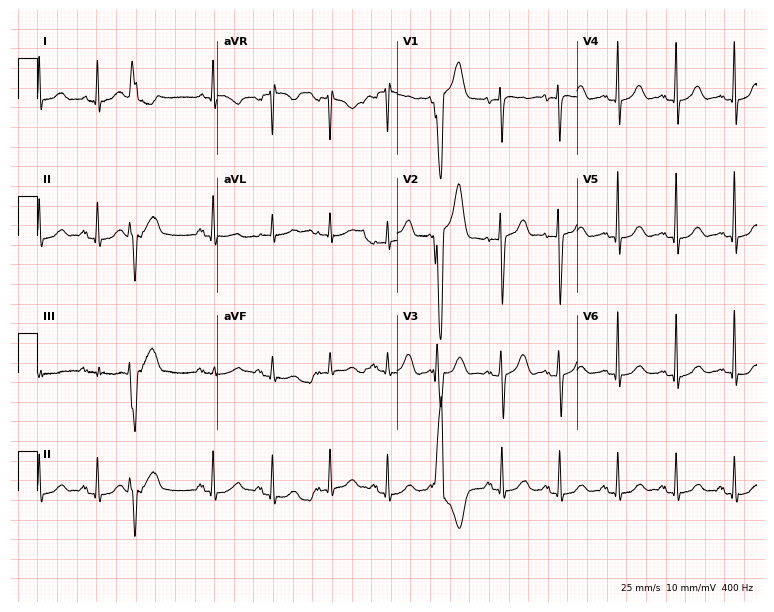
12-lead ECG from a woman, 81 years old. Screened for six findings — first-degree AV block, right bundle branch block, left bundle branch block, sinus bradycardia, atrial fibrillation, sinus tachycardia — none is recorded.